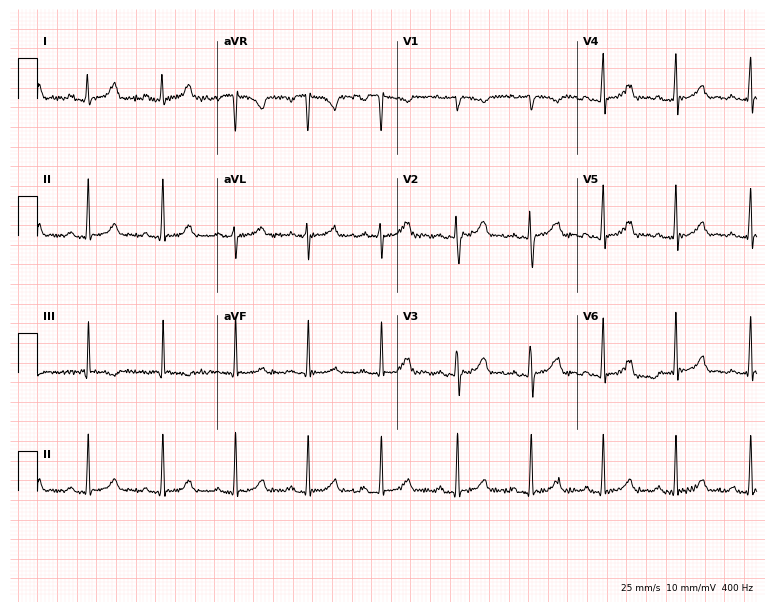
12-lead ECG from a 22-year-old female patient (7.3-second recording at 400 Hz). Recorded interpretation: within normal limits.